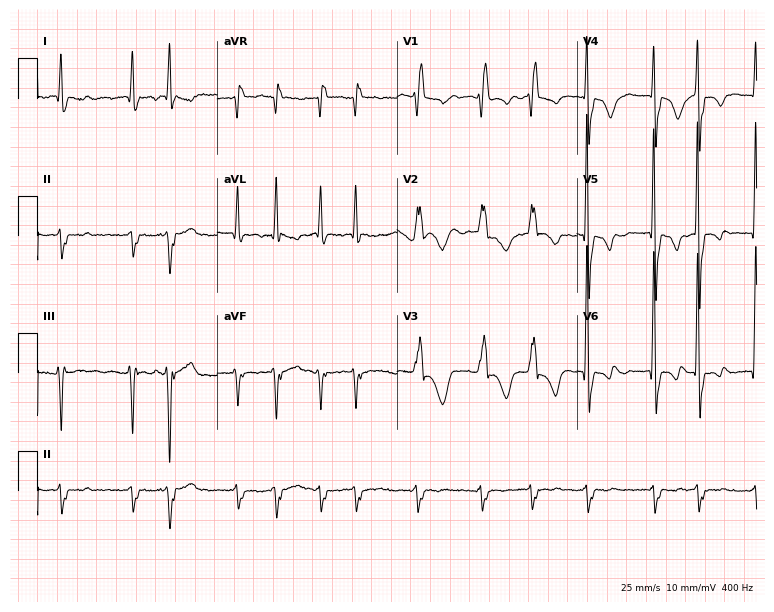
12-lead ECG from a male patient, 76 years old (7.3-second recording at 400 Hz). Shows atrial fibrillation.